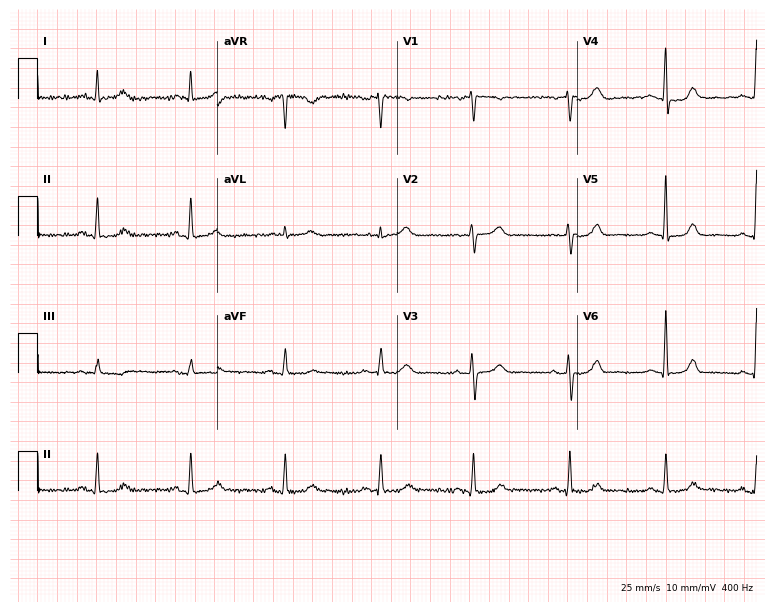
Resting 12-lead electrocardiogram (7.3-second recording at 400 Hz). Patient: a female, 65 years old. Read as a normal ECG.